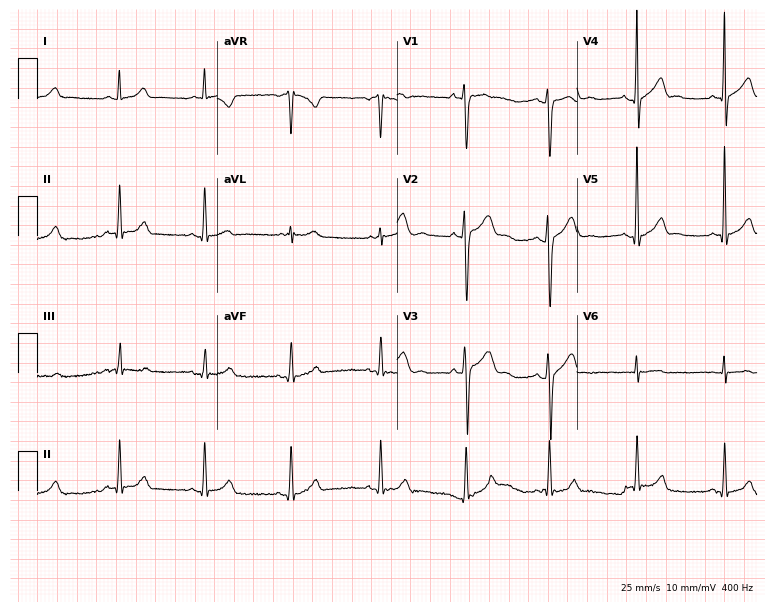
Standard 12-lead ECG recorded from a 24-year-old male (7.3-second recording at 400 Hz). Read as a normal ECG.